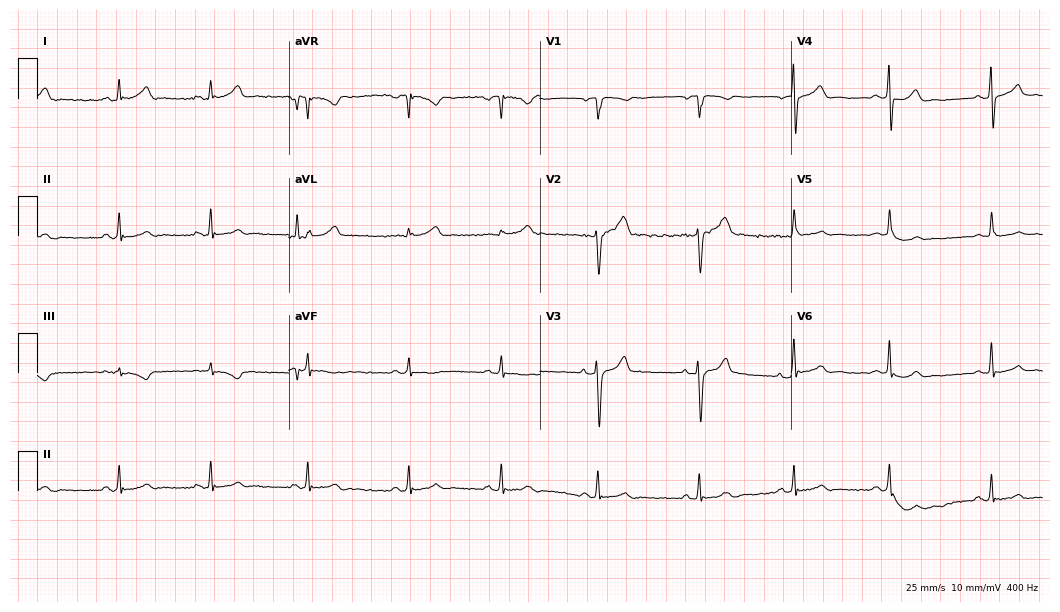
12-lead ECG from a 24-year-old male. Labelled as a normal ECG.